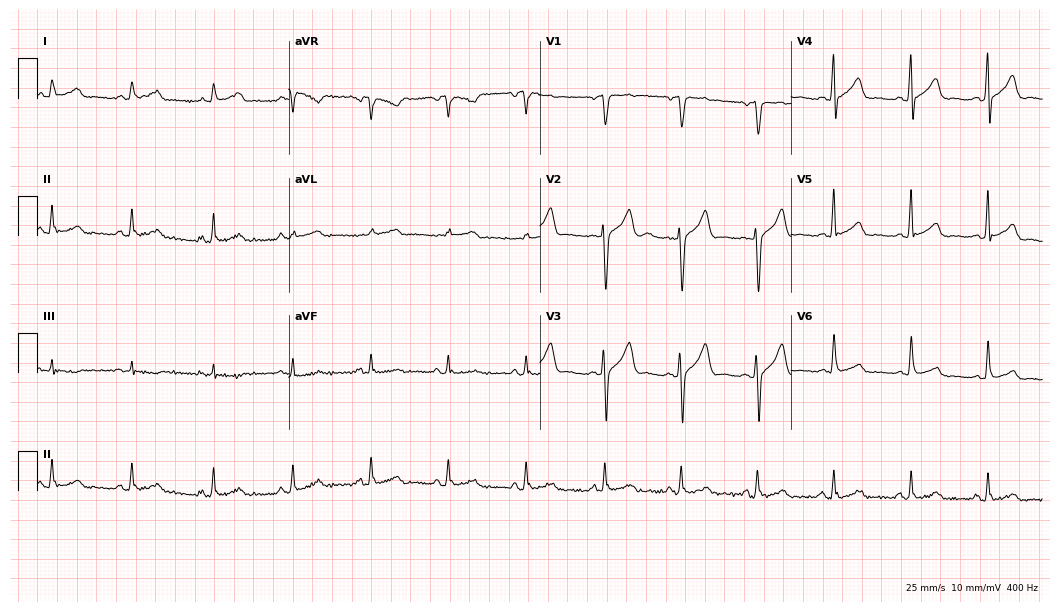
12-lead ECG from a male, 39 years old. No first-degree AV block, right bundle branch block, left bundle branch block, sinus bradycardia, atrial fibrillation or sinus tachycardia recorded for this tracing. Findings outside these six are not listed.